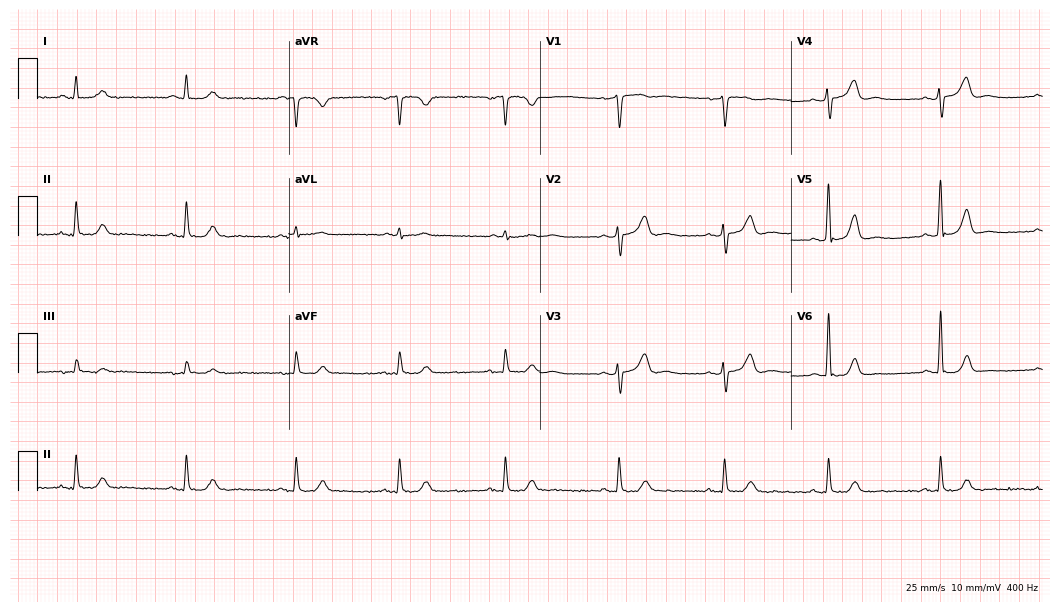
12-lead ECG from a 66-year-old male patient. Labelled as a normal ECG.